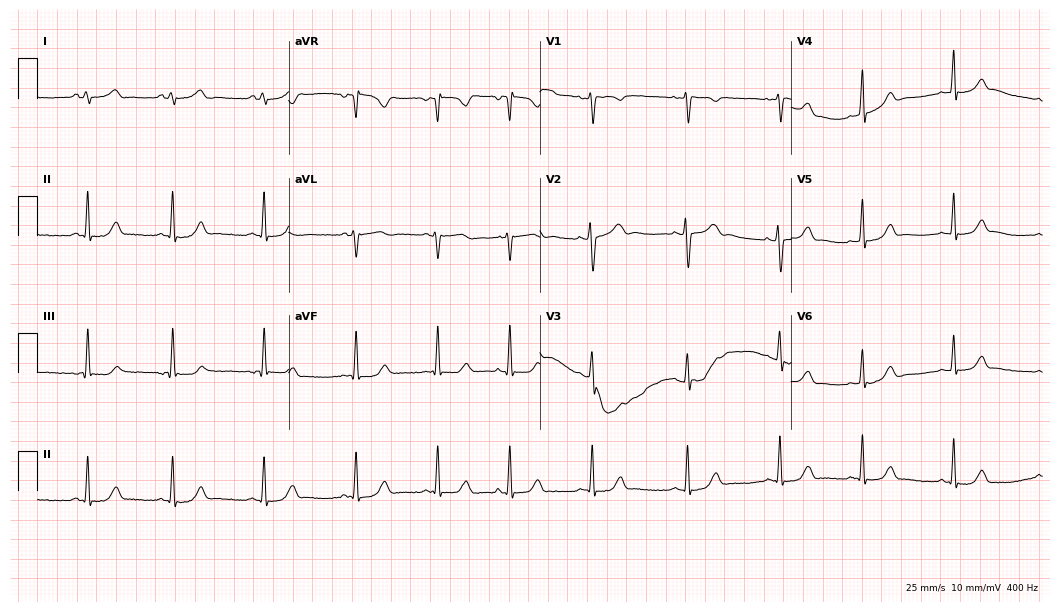
Electrocardiogram, a 21-year-old woman. Overall reading on record: normal ECG.